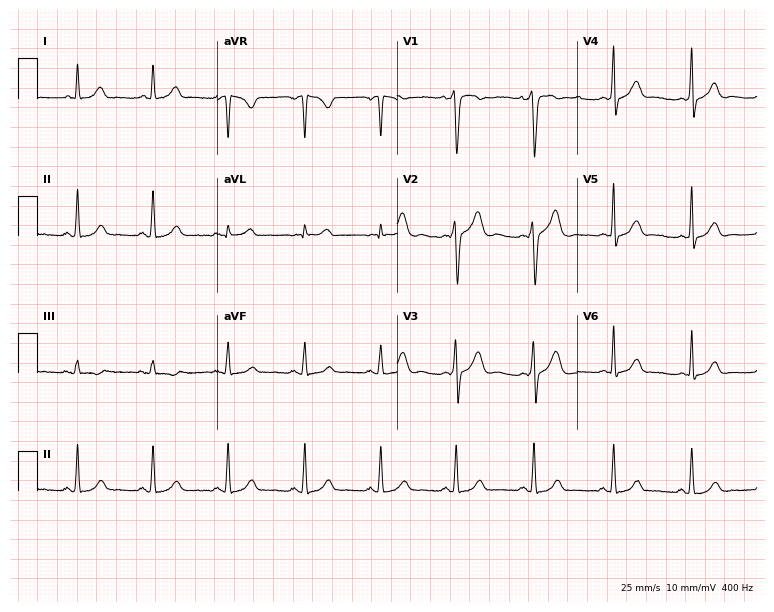
ECG (7.3-second recording at 400 Hz) — a female patient, 29 years old. Labelled as a normal ECG.